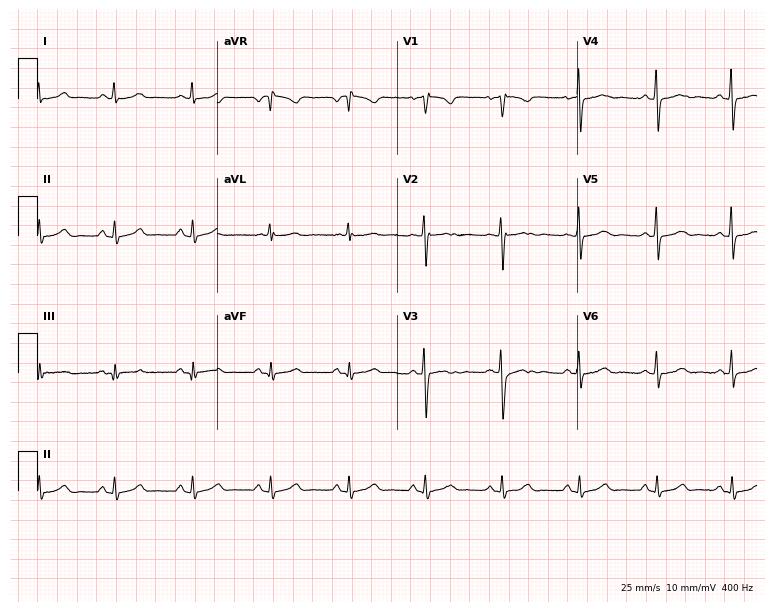
Electrocardiogram, a 41-year-old female. Overall reading on record: normal ECG.